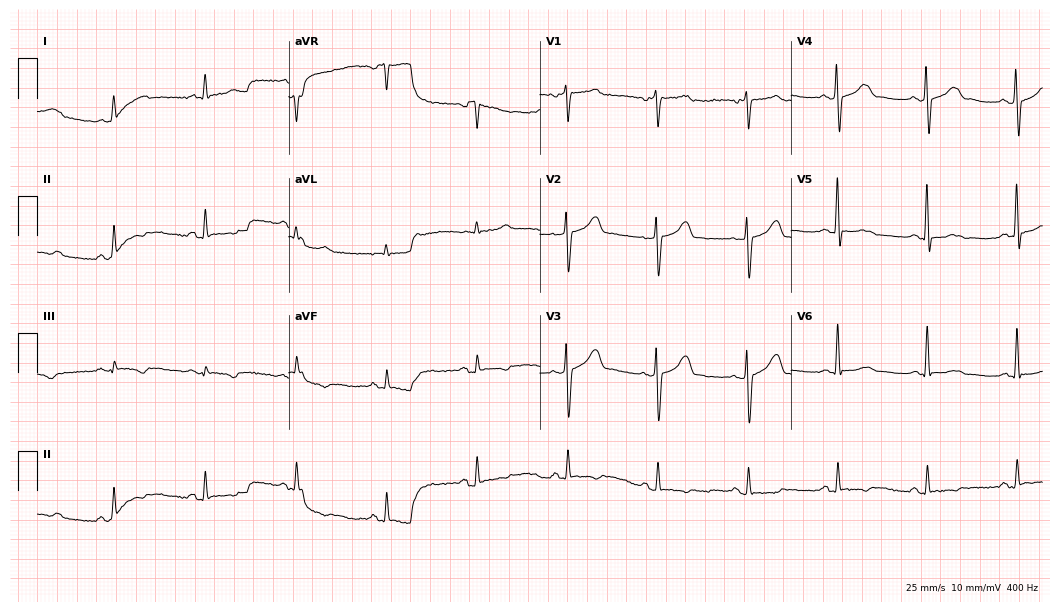
ECG — a man, 62 years old. Screened for six findings — first-degree AV block, right bundle branch block, left bundle branch block, sinus bradycardia, atrial fibrillation, sinus tachycardia — none is recorded. Findings outside these six are not listed.